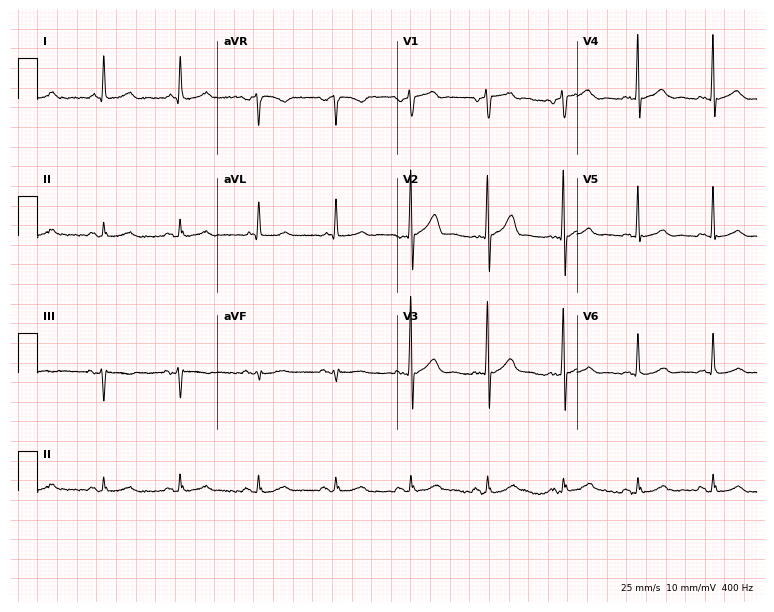
Electrocardiogram (7.3-second recording at 400 Hz), a 51-year-old male patient. Overall reading on record: normal ECG.